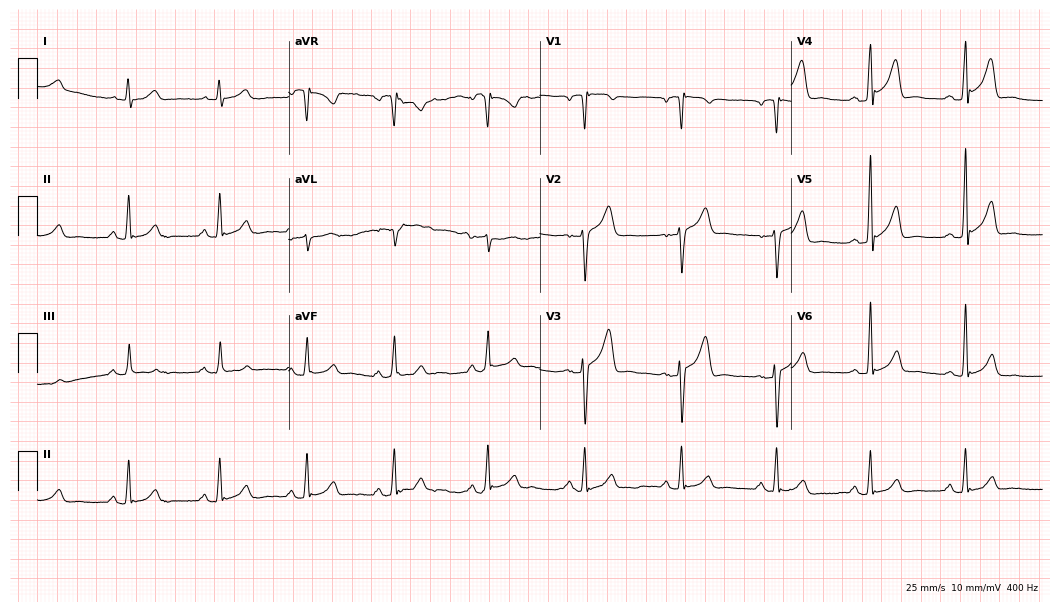
Resting 12-lead electrocardiogram. Patient: a 38-year-old male. Read as a normal ECG.